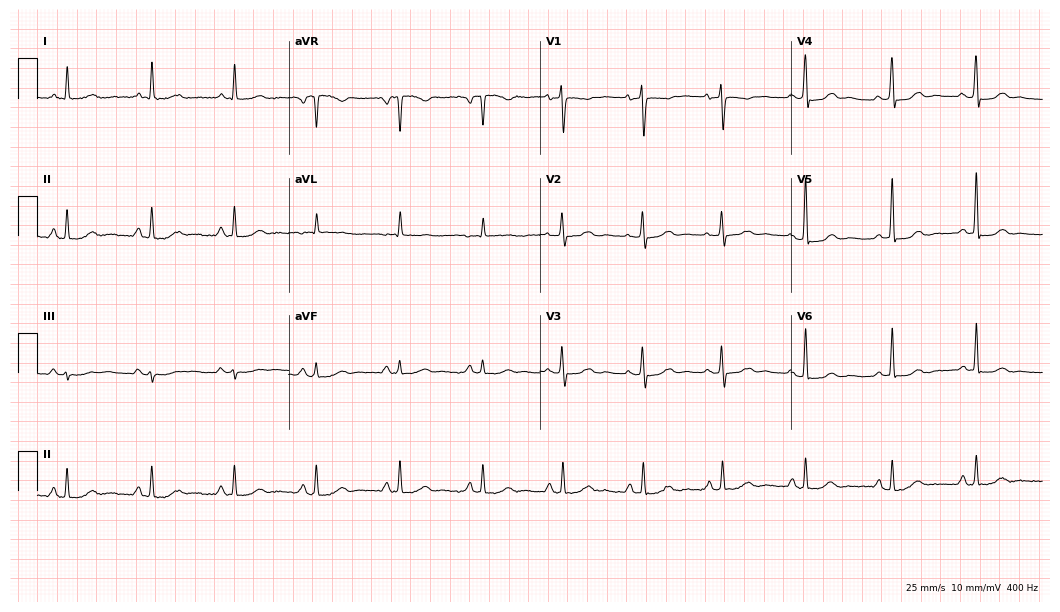
ECG (10.2-second recording at 400 Hz) — a female patient, 50 years old. Screened for six findings — first-degree AV block, right bundle branch block, left bundle branch block, sinus bradycardia, atrial fibrillation, sinus tachycardia — none is recorded.